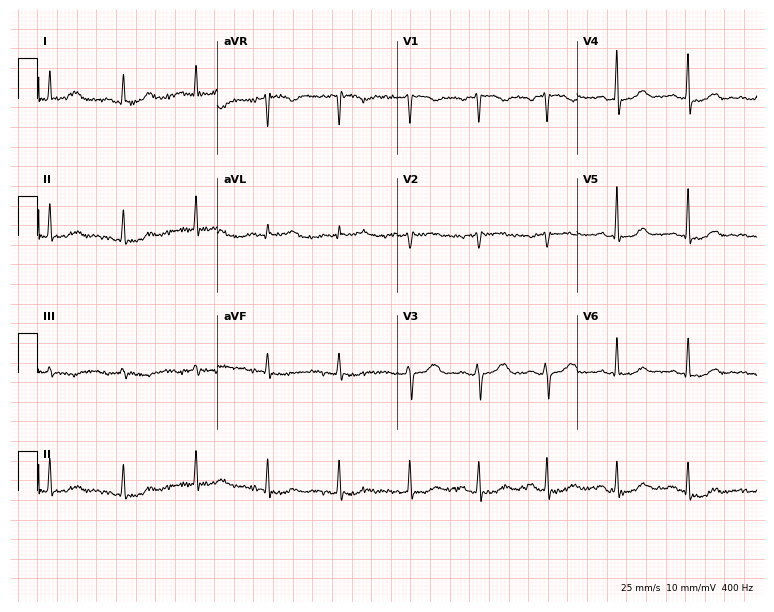
12-lead ECG from a female, 44 years old. Screened for six findings — first-degree AV block, right bundle branch block, left bundle branch block, sinus bradycardia, atrial fibrillation, sinus tachycardia — none is recorded. Findings outside these six are not listed.